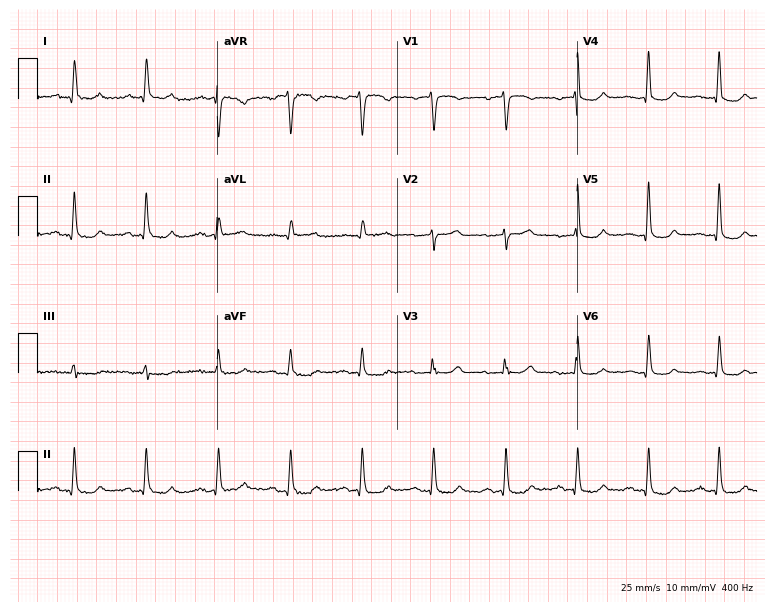
Resting 12-lead electrocardiogram (7.3-second recording at 400 Hz). Patient: an 86-year-old female. None of these six findings is recorded: first-degree AV block, right bundle branch block, left bundle branch block, sinus bradycardia, atrial fibrillation, sinus tachycardia. Only these six findings were labelled.